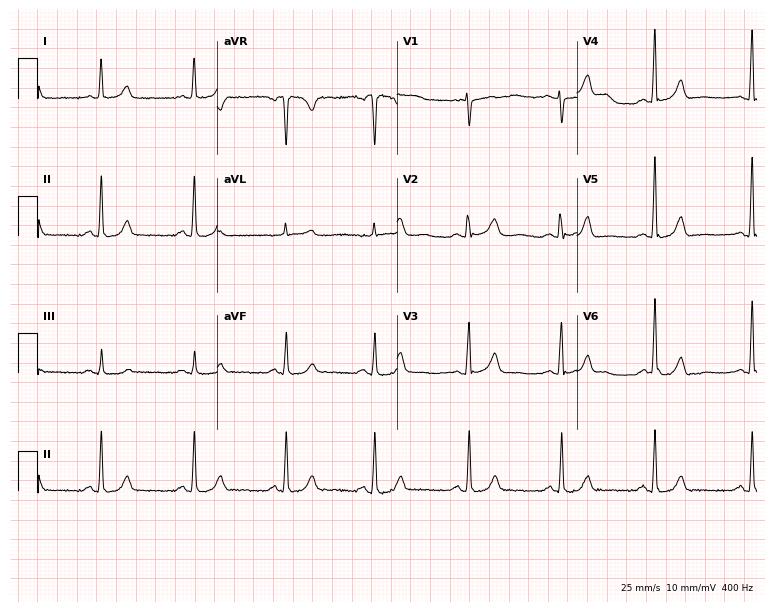
12-lead ECG from a 36-year-old female patient. Recorded interpretation: within normal limits.